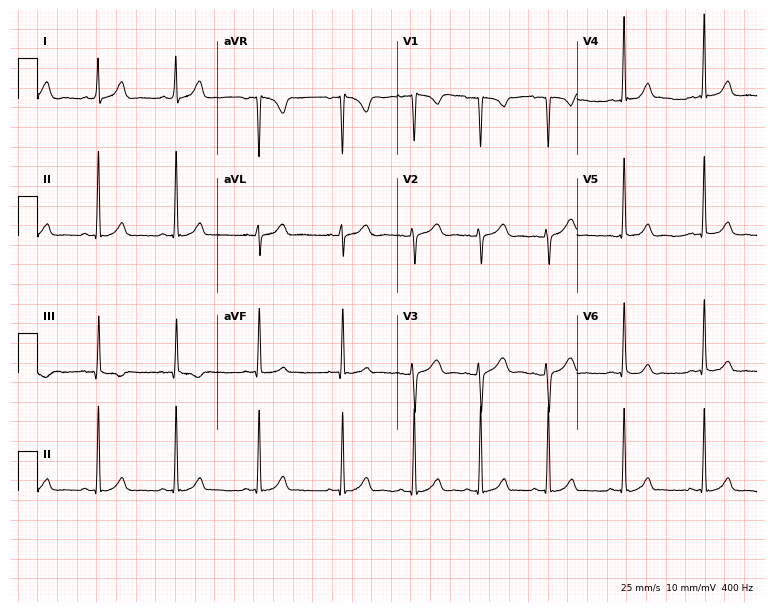
Resting 12-lead electrocardiogram (7.3-second recording at 400 Hz). Patient: a female, 22 years old. Read as a normal ECG.